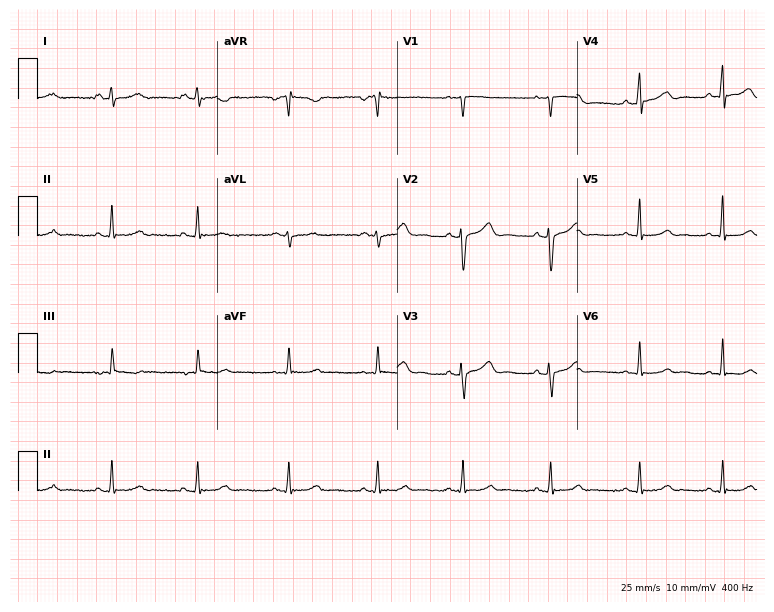
Resting 12-lead electrocardiogram. Patient: a female, 27 years old. Read as a normal ECG.